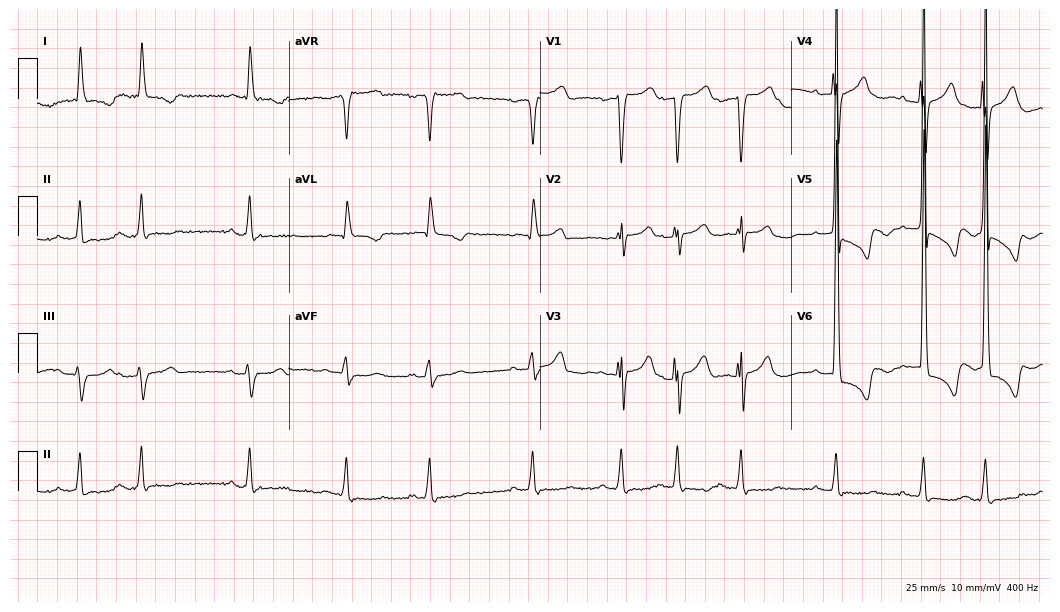
ECG — an 86-year-old male. Screened for six findings — first-degree AV block, right bundle branch block, left bundle branch block, sinus bradycardia, atrial fibrillation, sinus tachycardia — none is recorded. Other findings, if any, are not listed.